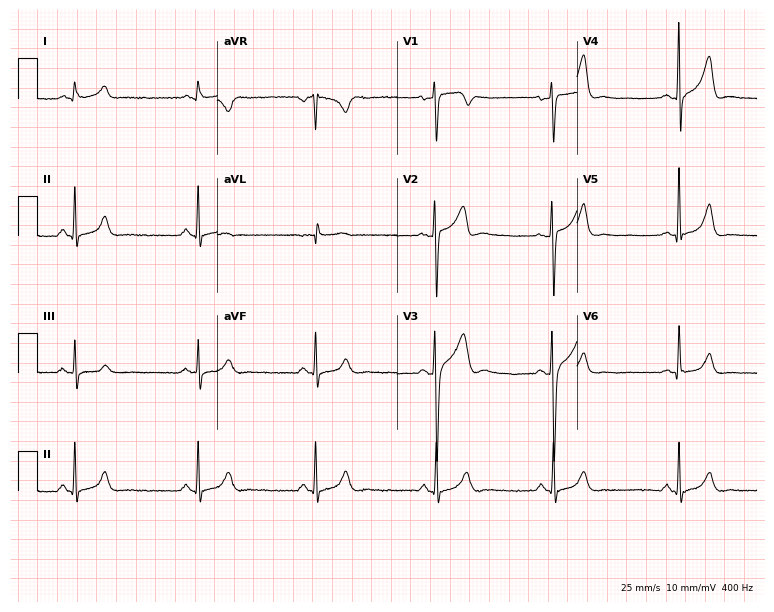
Standard 12-lead ECG recorded from a man, 30 years old (7.3-second recording at 400 Hz). Read as a normal ECG.